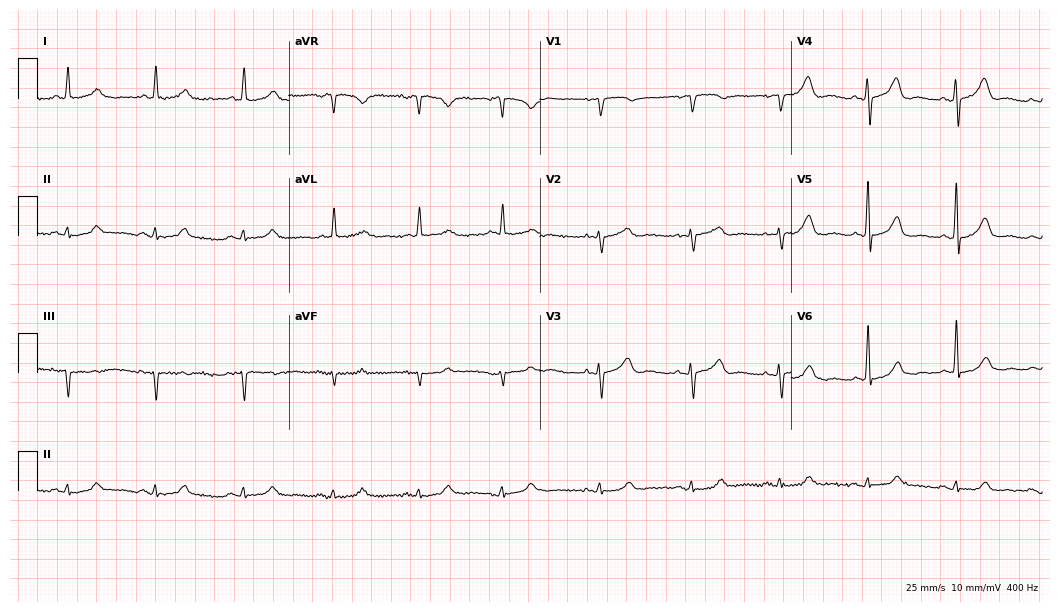
12-lead ECG from an 82-year-old male. Recorded interpretation: within normal limits.